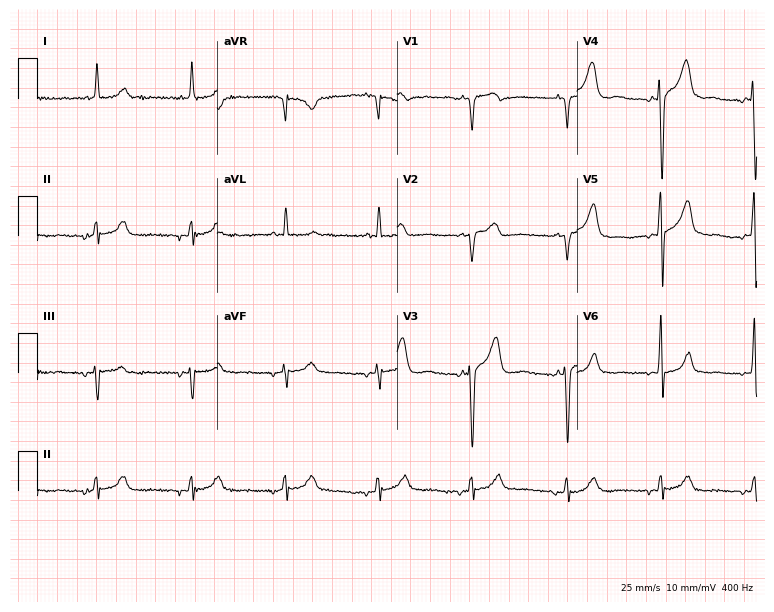
12-lead ECG from a male patient, 69 years old. No first-degree AV block, right bundle branch block, left bundle branch block, sinus bradycardia, atrial fibrillation or sinus tachycardia recorded for this tracing. Other findings, if any, are not listed.